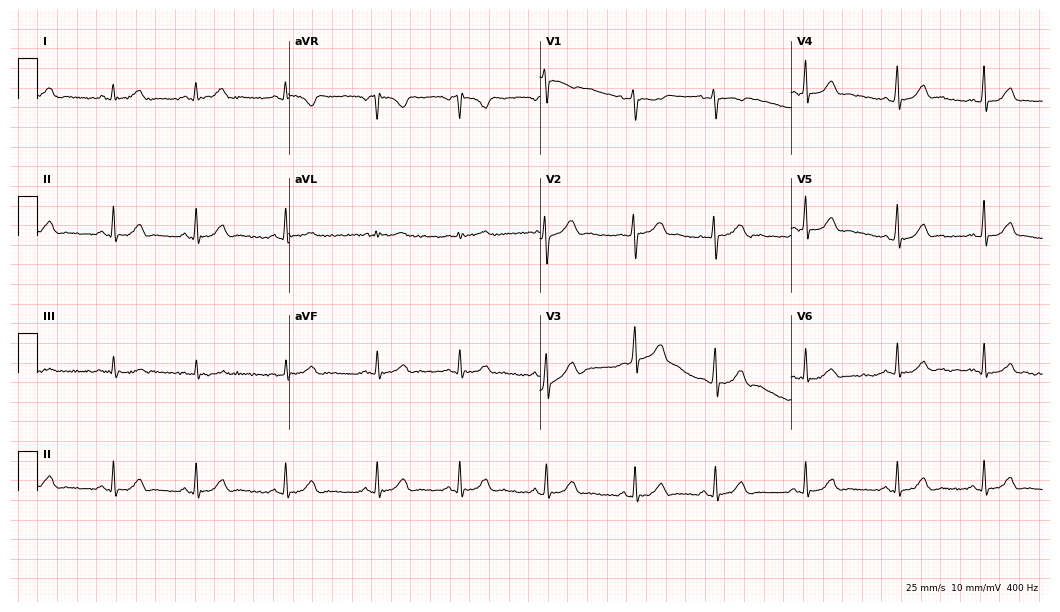
Electrocardiogram, a woman, 18 years old. Overall reading on record: normal ECG.